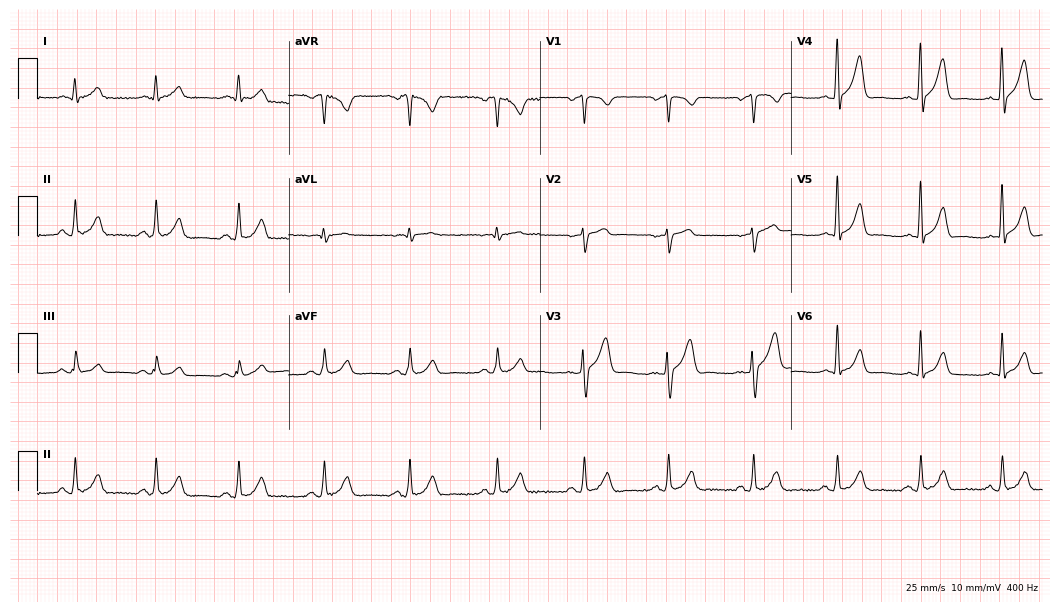
Standard 12-lead ECG recorded from a female patient, 24 years old. Read as a normal ECG.